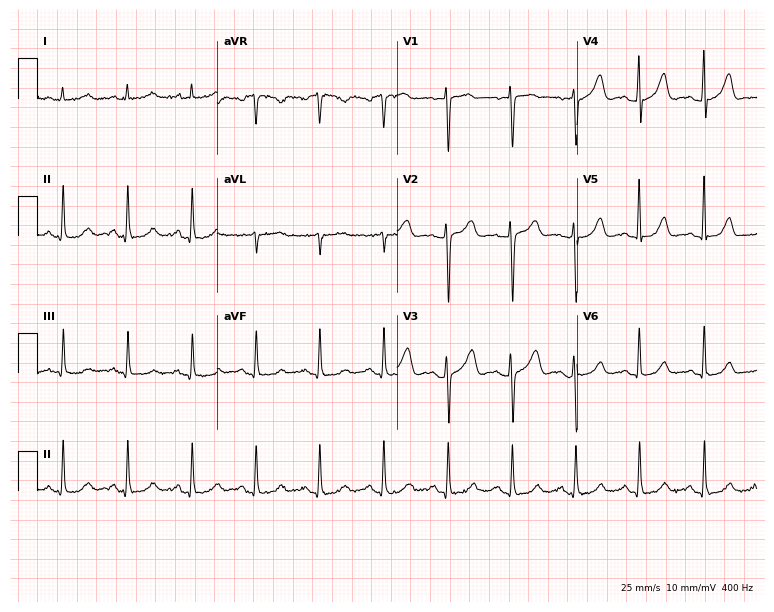
12-lead ECG (7.3-second recording at 400 Hz) from a female, 56 years old. Screened for six findings — first-degree AV block, right bundle branch block, left bundle branch block, sinus bradycardia, atrial fibrillation, sinus tachycardia — none is recorded.